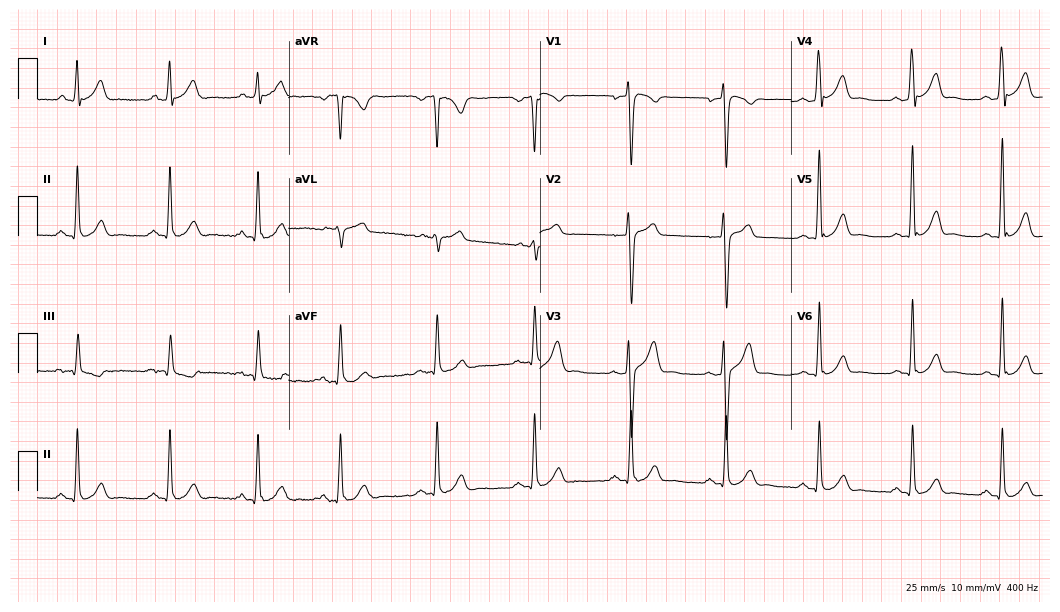
12-lead ECG from a 51-year-old man. No first-degree AV block, right bundle branch block, left bundle branch block, sinus bradycardia, atrial fibrillation or sinus tachycardia recorded for this tracing. Other findings, if any, are not listed.